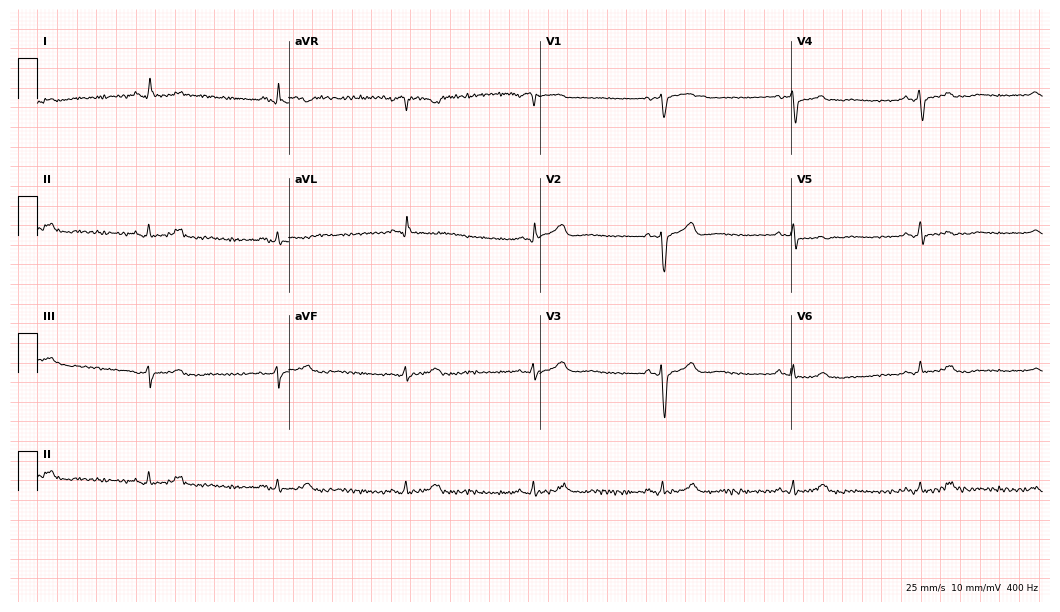
12-lead ECG (10.2-second recording at 400 Hz) from a 77-year-old male patient. Findings include sinus bradycardia (a sinus rate of 50 beats per minute or less).